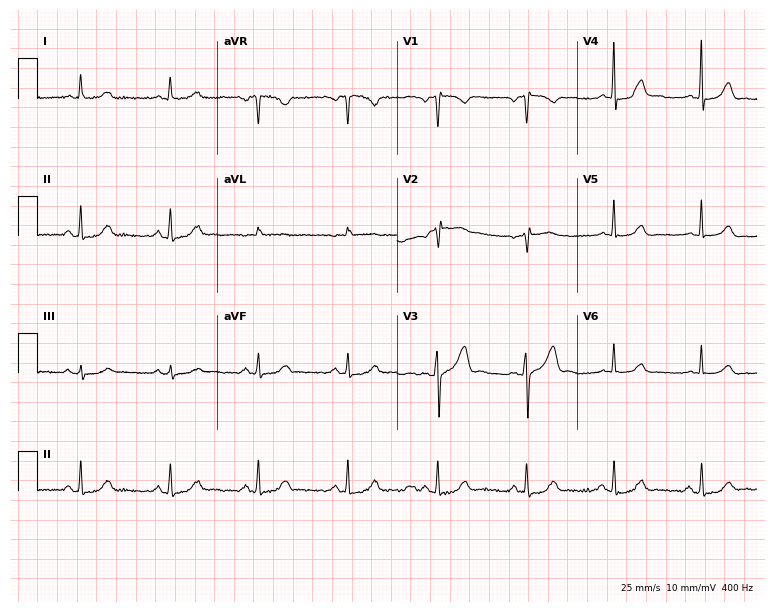
Resting 12-lead electrocardiogram (7.3-second recording at 400 Hz). Patient: a female, 45 years old. None of these six findings is recorded: first-degree AV block, right bundle branch block (RBBB), left bundle branch block (LBBB), sinus bradycardia, atrial fibrillation (AF), sinus tachycardia.